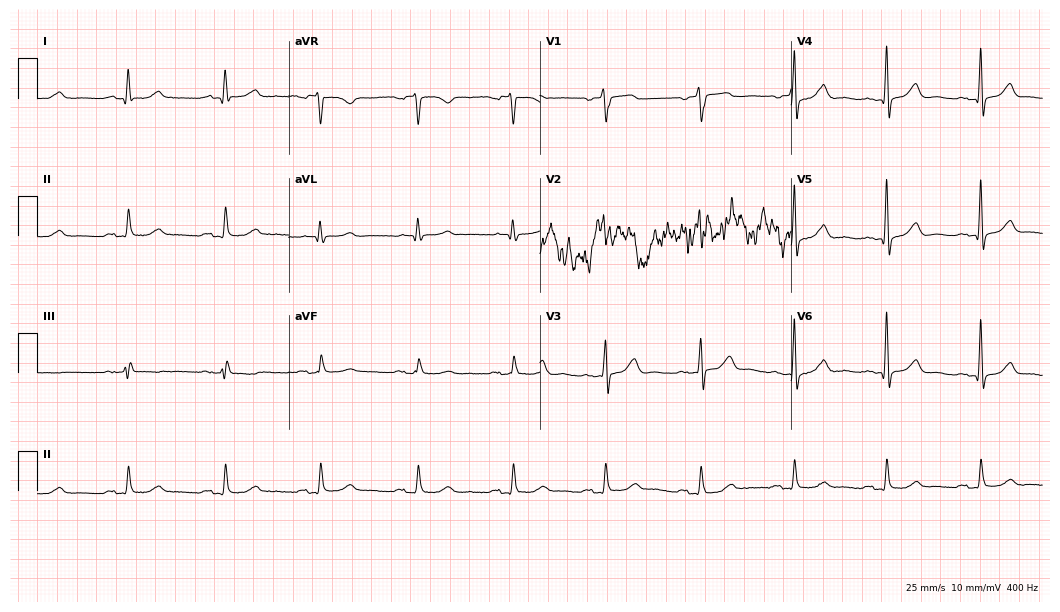
ECG — a 75-year-old male. Screened for six findings — first-degree AV block, right bundle branch block (RBBB), left bundle branch block (LBBB), sinus bradycardia, atrial fibrillation (AF), sinus tachycardia — none is recorded.